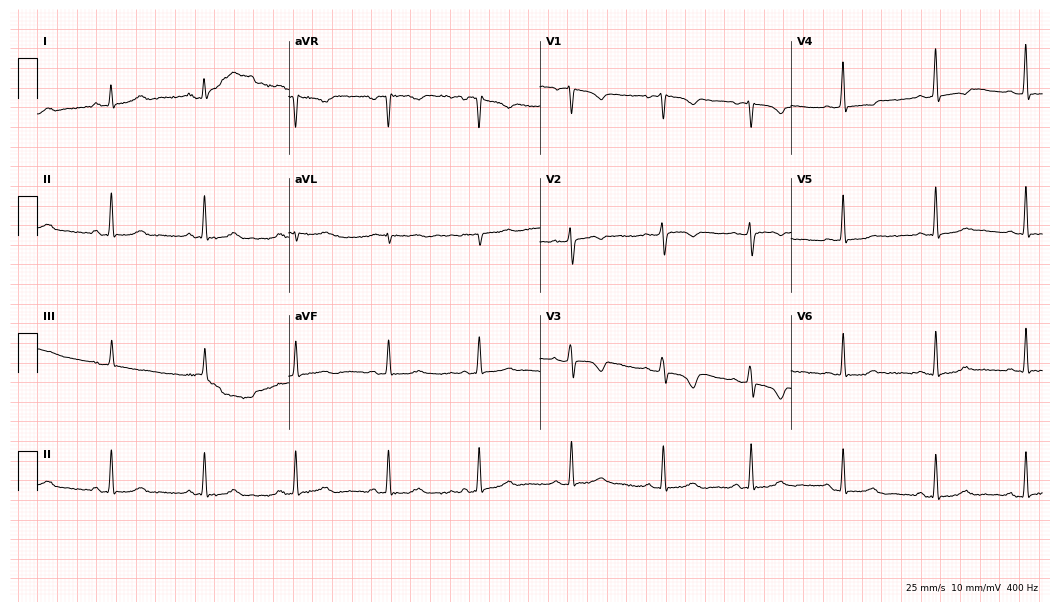
12-lead ECG from a female patient, 32 years old. Recorded interpretation: within normal limits.